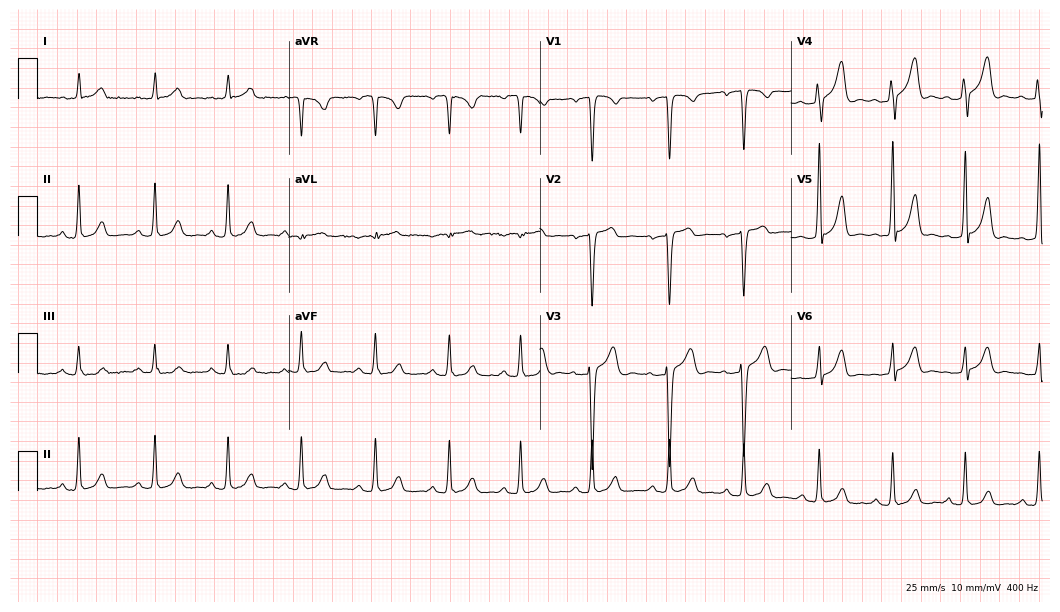
Resting 12-lead electrocardiogram (10.2-second recording at 400 Hz). Patient: a man, 35 years old. Read as a normal ECG.